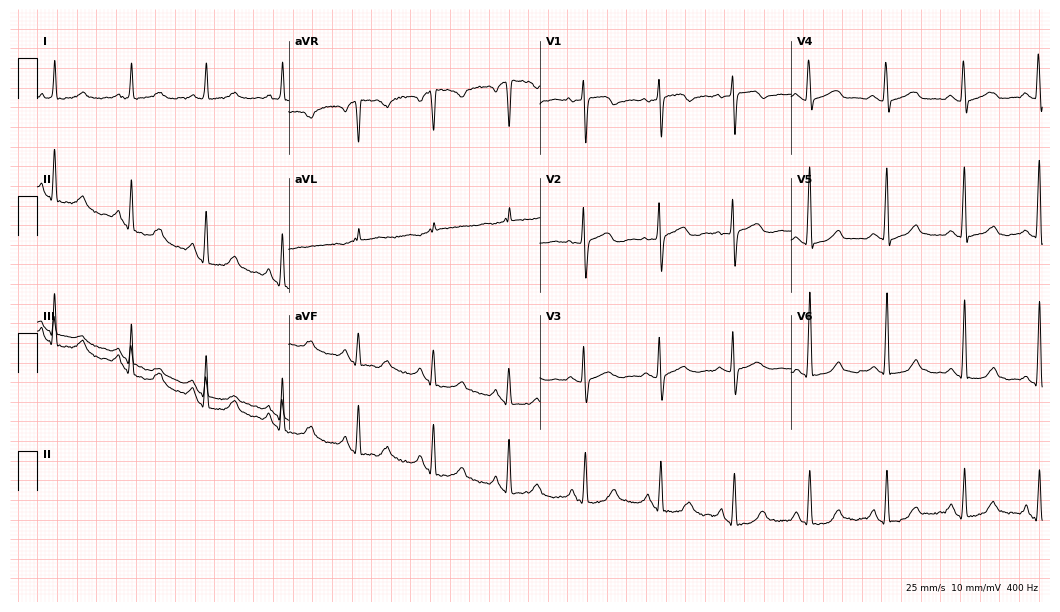
12-lead ECG from a woman, 59 years old. Recorded interpretation: within normal limits.